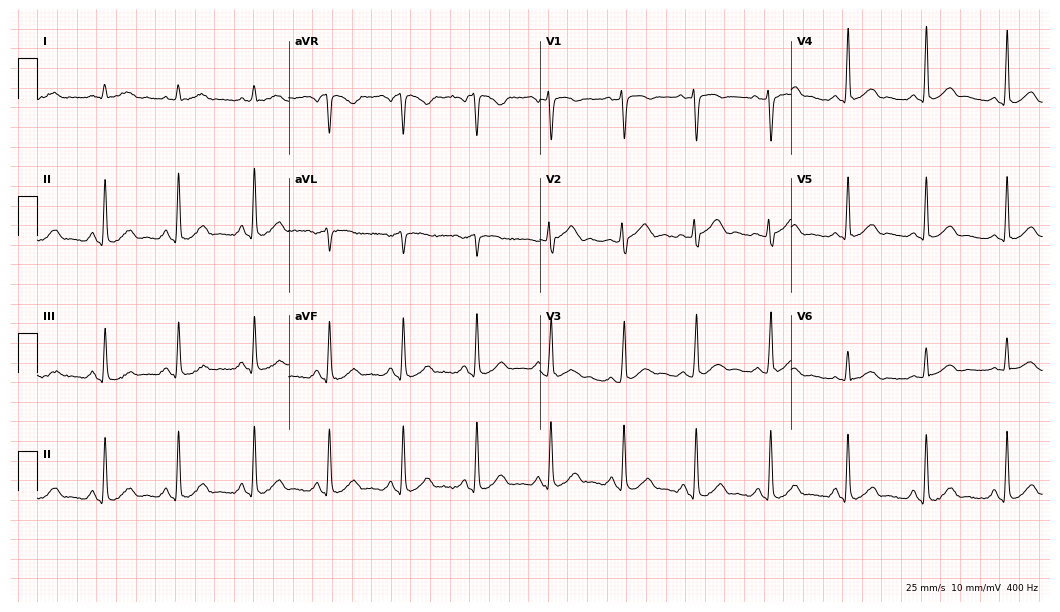
Electrocardiogram, a man, 50 years old. Overall reading on record: normal ECG.